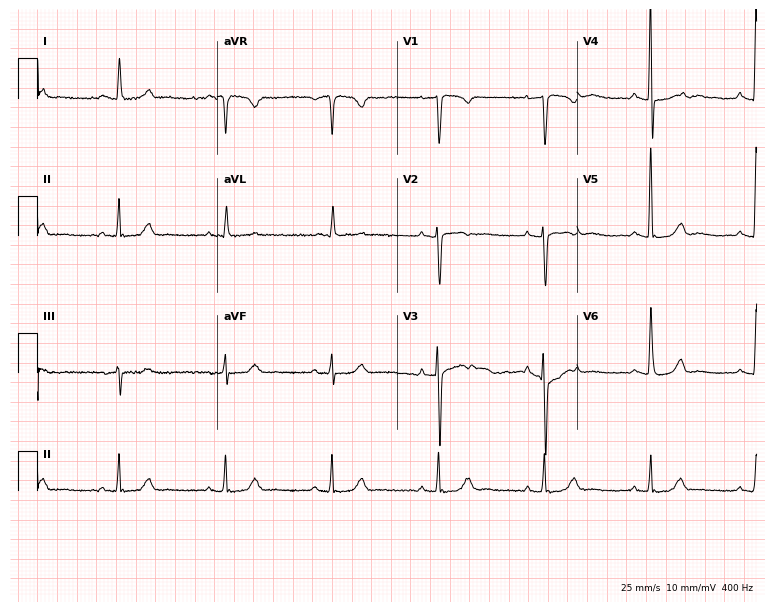
Resting 12-lead electrocardiogram (7.3-second recording at 400 Hz). Patient: a woman, 41 years old. None of these six findings is recorded: first-degree AV block, right bundle branch block (RBBB), left bundle branch block (LBBB), sinus bradycardia, atrial fibrillation (AF), sinus tachycardia. Findings outside these six are not listed.